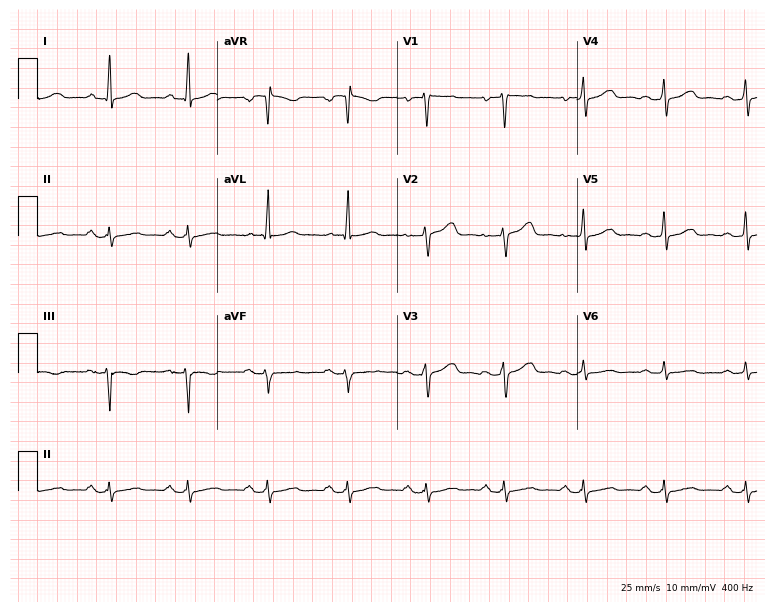
Resting 12-lead electrocardiogram (7.3-second recording at 400 Hz). Patient: a 58-year-old female. Read as a normal ECG.